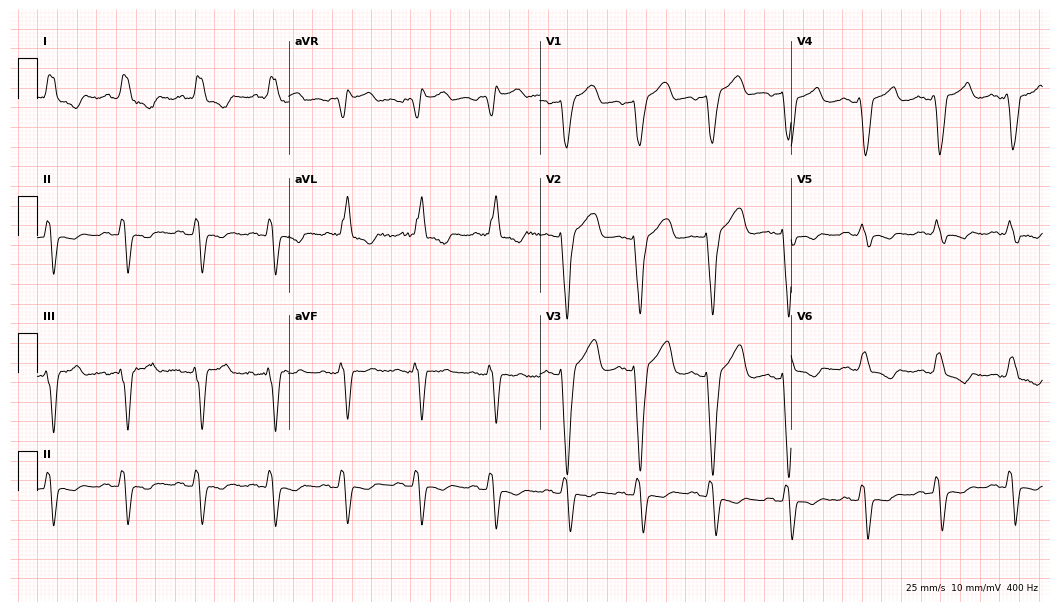
Electrocardiogram (10.2-second recording at 400 Hz), a 66-year-old female patient. Interpretation includes left bundle branch block (LBBB).